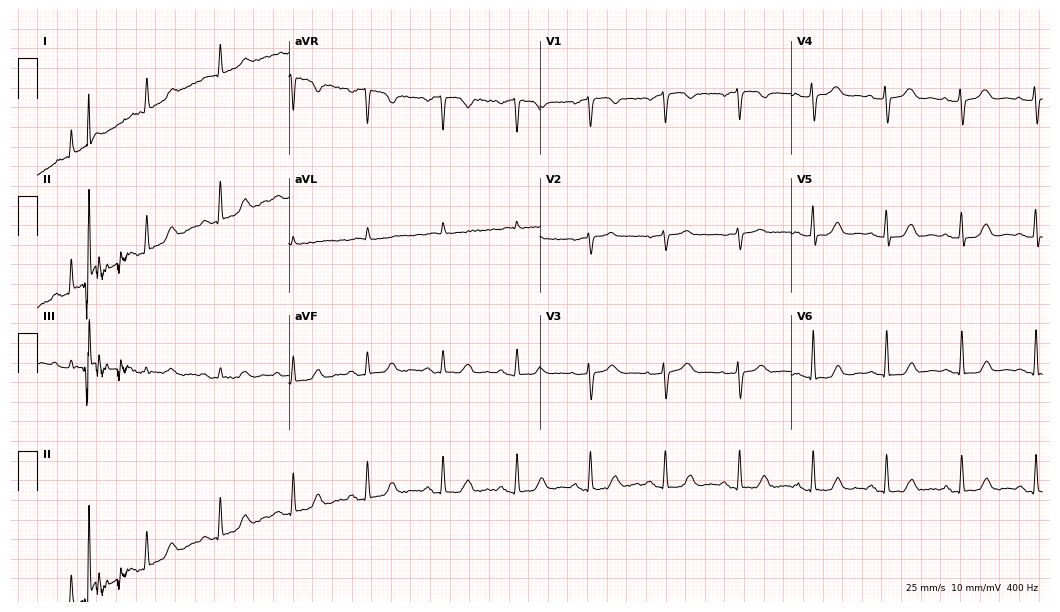
Electrocardiogram (10.2-second recording at 400 Hz), a female, 70 years old. Overall reading on record: normal ECG.